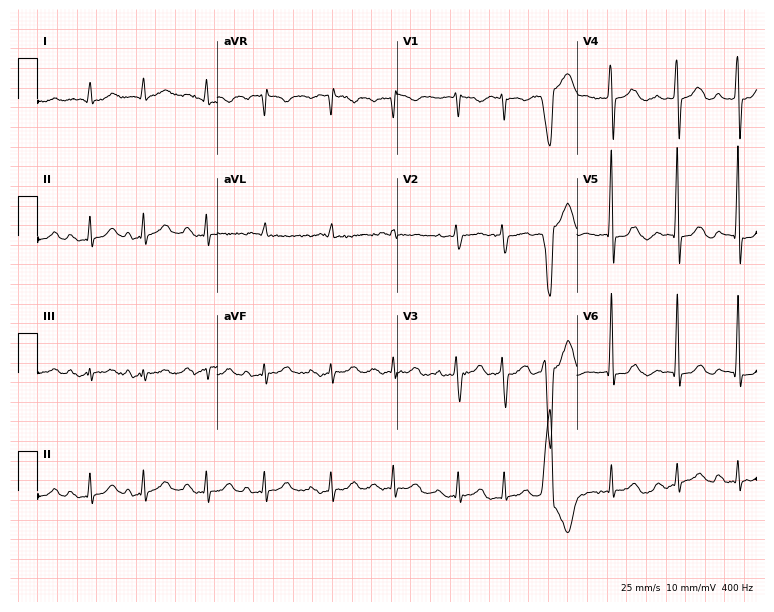
12-lead ECG from a man, 80 years old (7.3-second recording at 400 Hz). No first-degree AV block, right bundle branch block, left bundle branch block, sinus bradycardia, atrial fibrillation or sinus tachycardia recorded for this tracing.